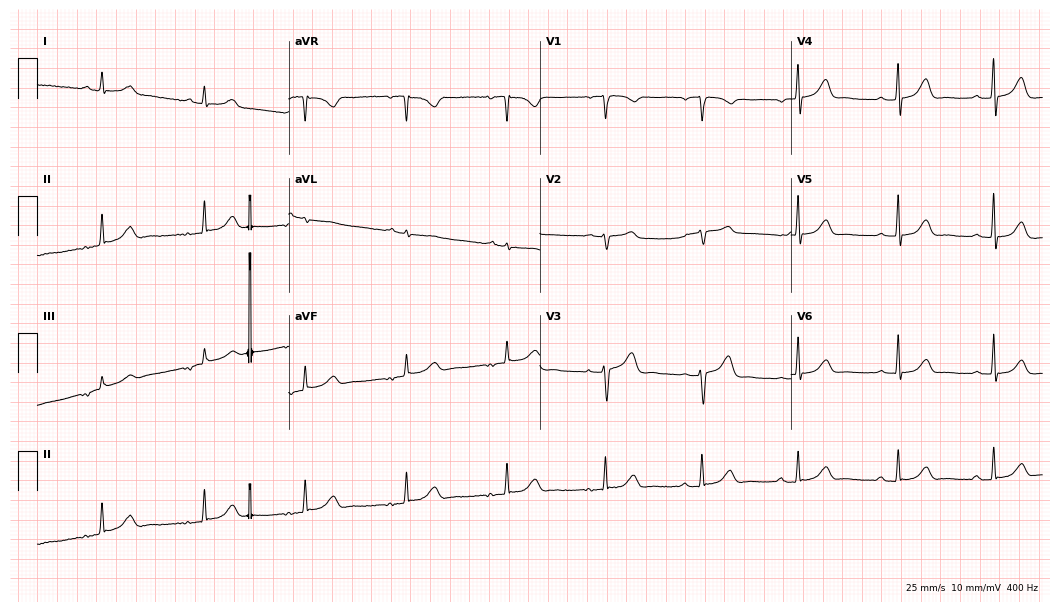
Standard 12-lead ECG recorded from a 63-year-old woman (10.2-second recording at 400 Hz). Read as a normal ECG.